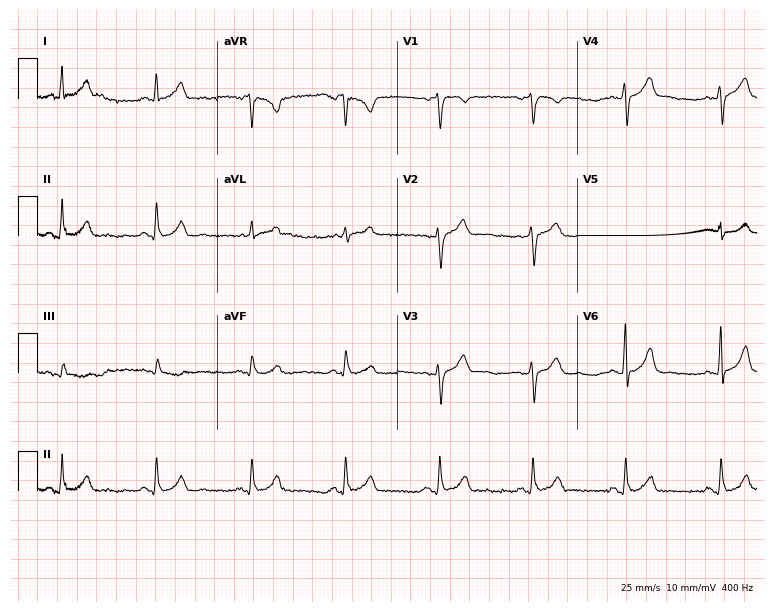
12-lead ECG (7.3-second recording at 400 Hz) from a female patient, 48 years old. Screened for six findings — first-degree AV block, right bundle branch block, left bundle branch block, sinus bradycardia, atrial fibrillation, sinus tachycardia — none is recorded. Other findings, if any, are not listed.